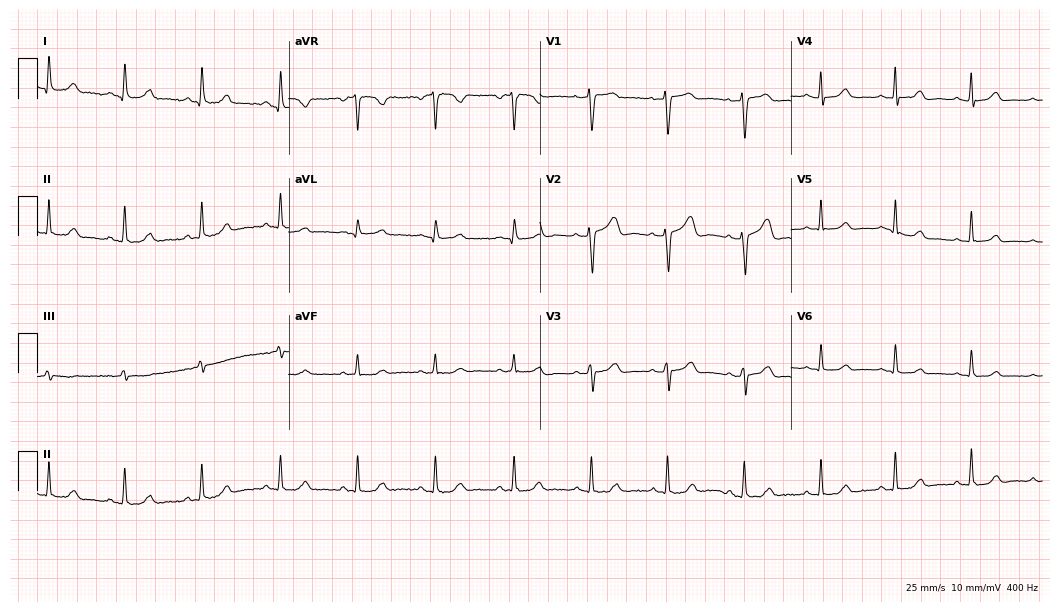
Resting 12-lead electrocardiogram. Patient: a female, 38 years old. Read as a normal ECG.